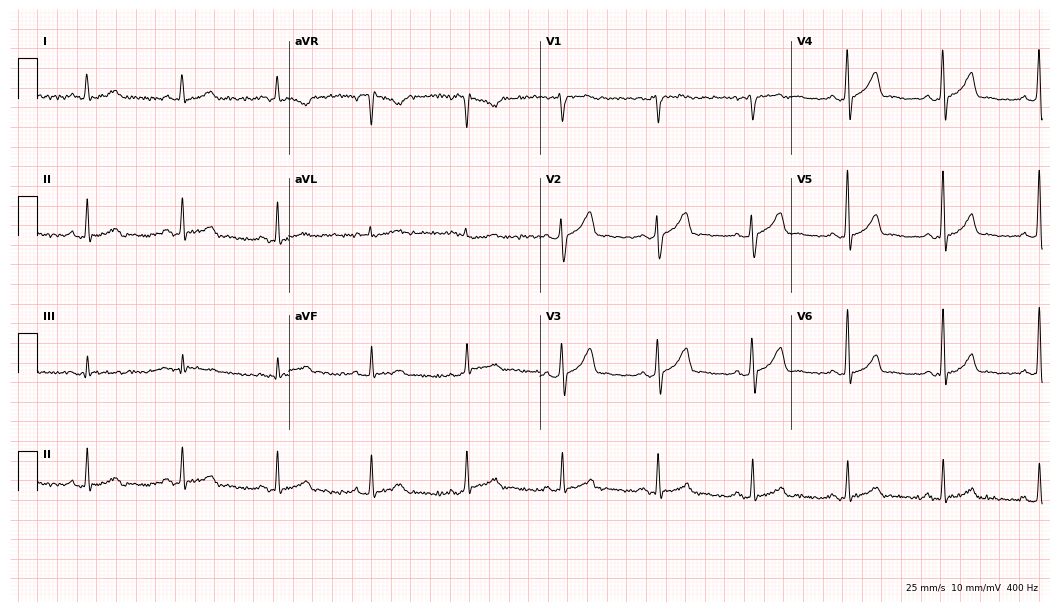
Electrocardiogram, a 47-year-old male. Overall reading on record: normal ECG.